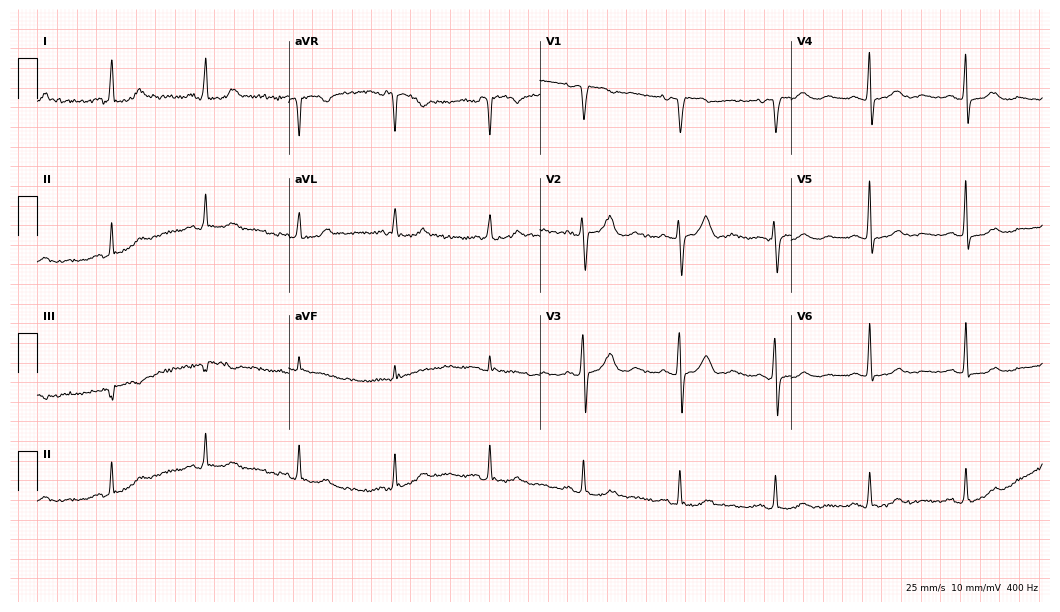
Standard 12-lead ECG recorded from a male, 65 years old. Read as a normal ECG.